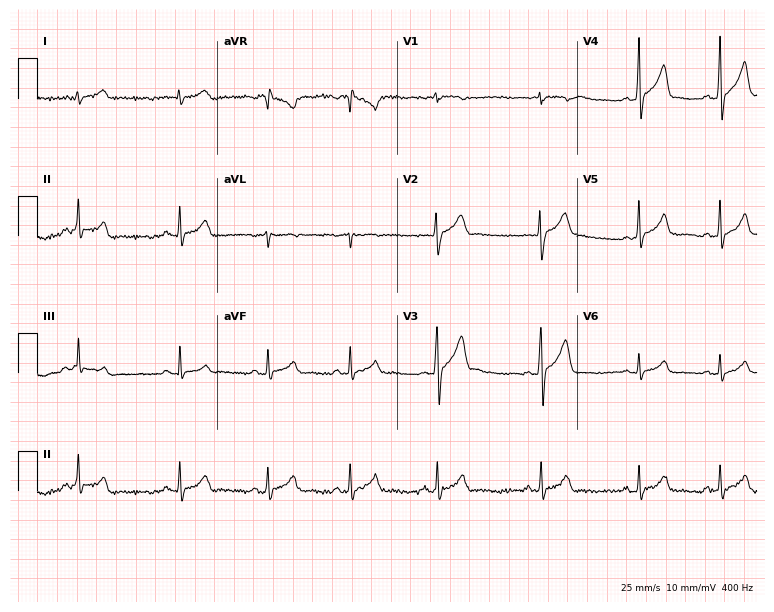
12-lead ECG from a male, 24 years old (7.3-second recording at 400 Hz). Recorded interpretation: within normal limits.